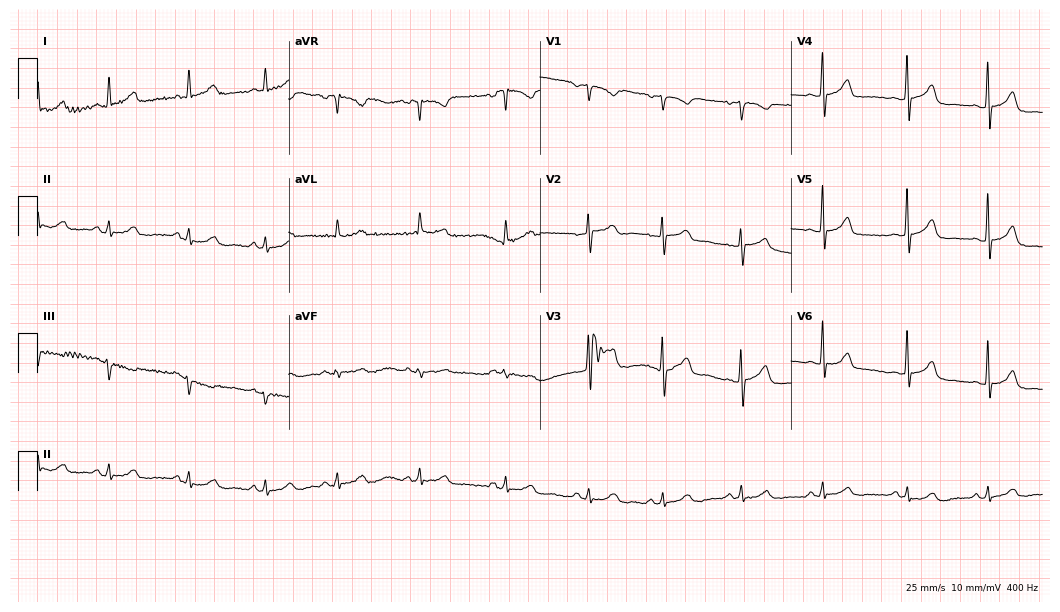
Resting 12-lead electrocardiogram. Patient: a 46-year-old female. None of these six findings is recorded: first-degree AV block, right bundle branch block, left bundle branch block, sinus bradycardia, atrial fibrillation, sinus tachycardia. Findings outside these six are not listed.